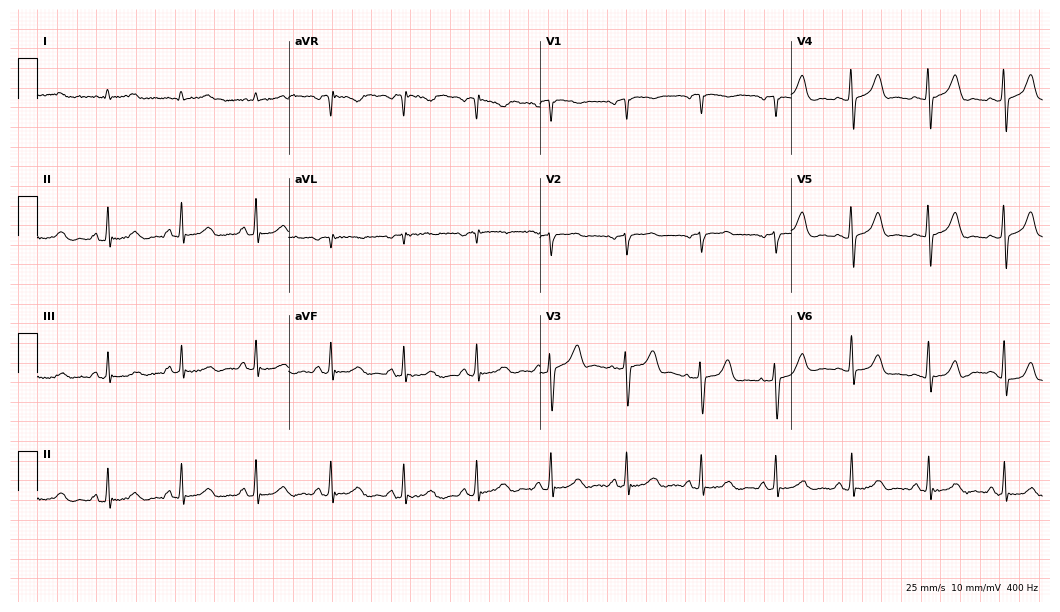
ECG (10.2-second recording at 400 Hz) — a male, 74 years old. Labelled as a normal ECG.